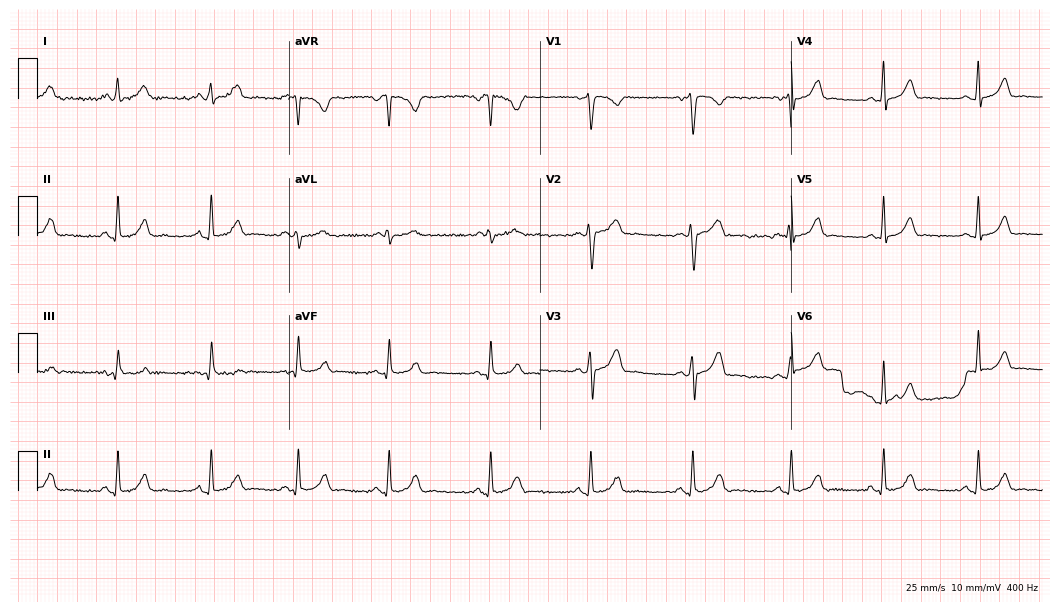
12-lead ECG from a woman, 32 years old. Recorded interpretation: within normal limits.